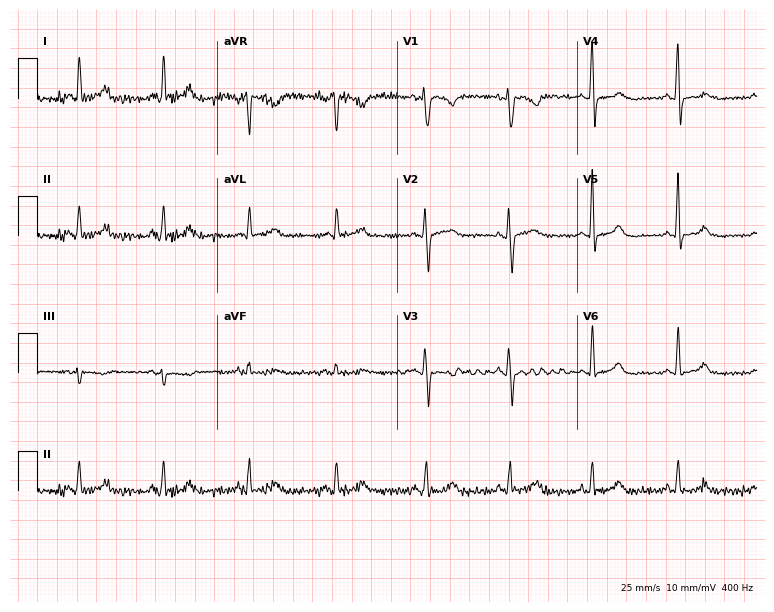
Resting 12-lead electrocardiogram. Patient: a 61-year-old female. None of these six findings is recorded: first-degree AV block, right bundle branch block, left bundle branch block, sinus bradycardia, atrial fibrillation, sinus tachycardia.